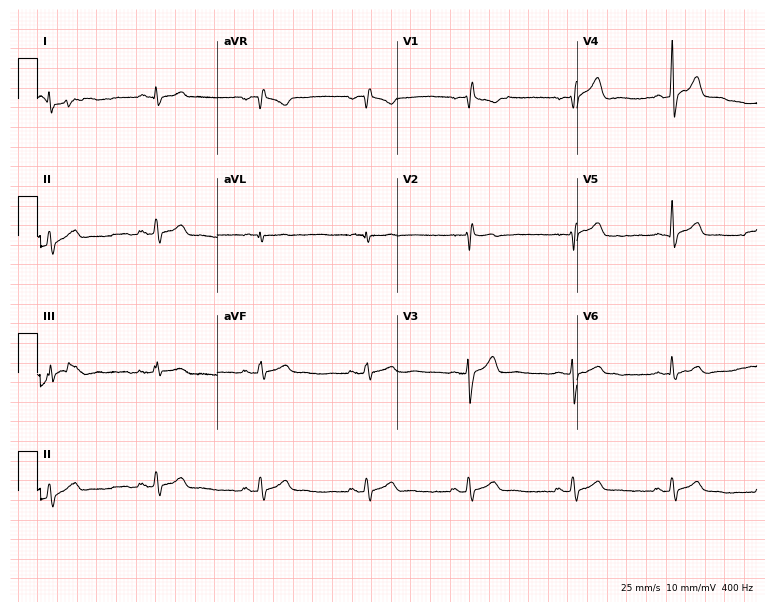
Resting 12-lead electrocardiogram (7.3-second recording at 400 Hz). Patient: a male, 39 years old. None of these six findings is recorded: first-degree AV block, right bundle branch block, left bundle branch block, sinus bradycardia, atrial fibrillation, sinus tachycardia.